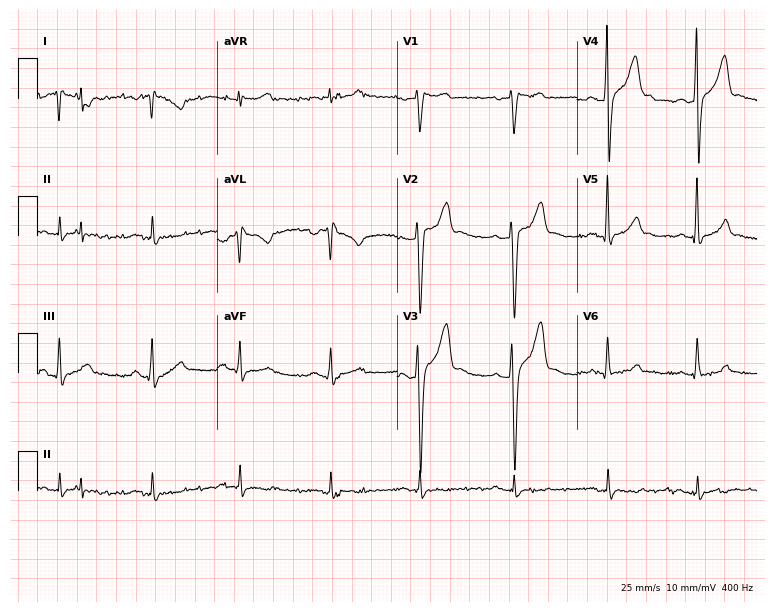
Standard 12-lead ECG recorded from a 45-year-old male. None of these six findings is recorded: first-degree AV block, right bundle branch block, left bundle branch block, sinus bradycardia, atrial fibrillation, sinus tachycardia. Other findings, if any, are not listed.